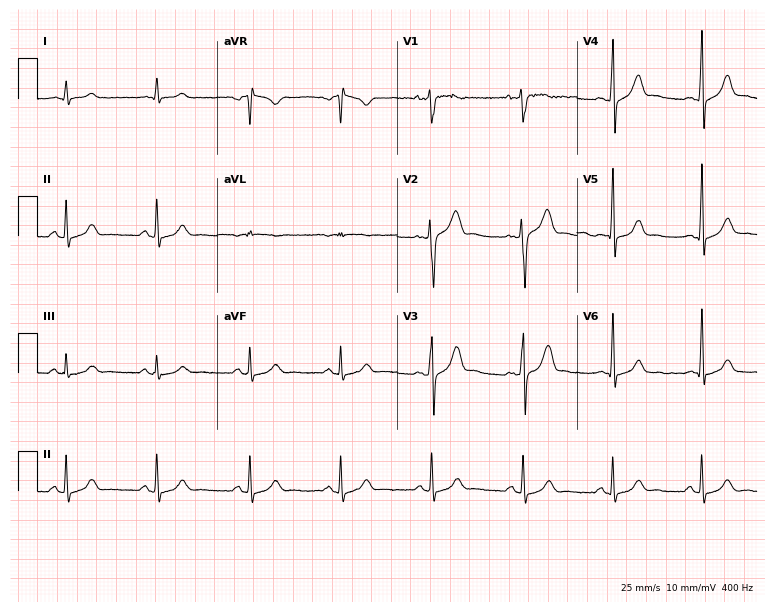
Electrocardiogram (7.3-second recording at 400 Hz), a 37-year-old male. Of the six screened findings (first-degree AV block, right bundle branch block (RBBB), left bundle branch block (LBBB), sinus bradycardia, atrial fibrillation (AF), sinus tachycardia), none is recorded.